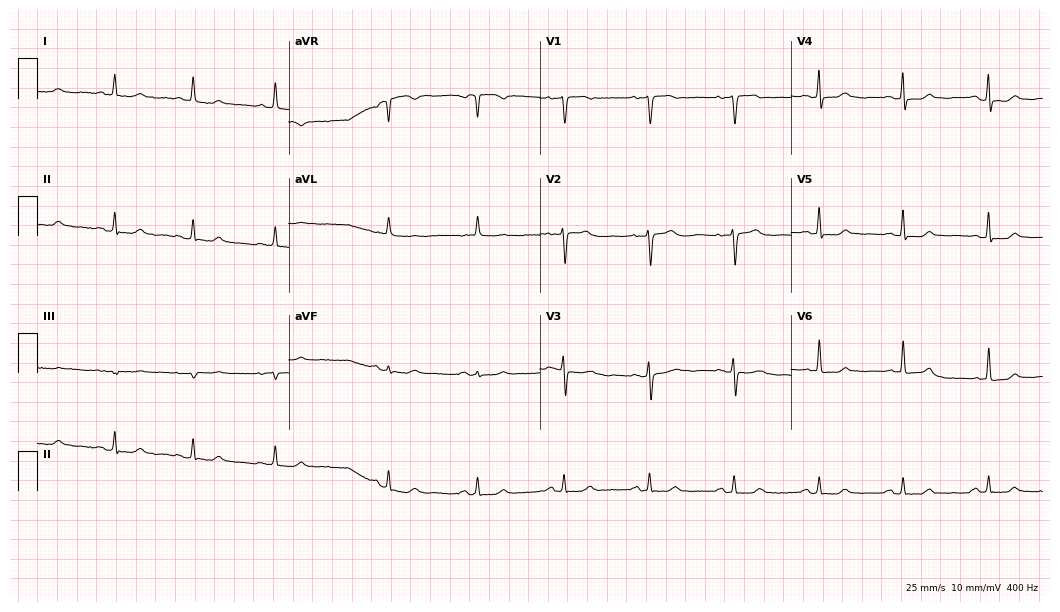
Standard 12-lead ECG recorded from a female, 72 years old. Read as a normal ECG.